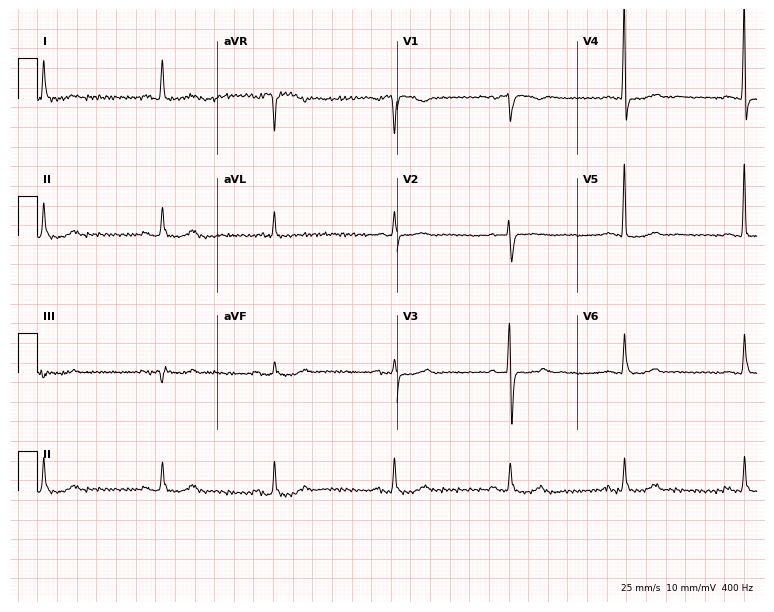
Electrocardiogram (7.3-second recording at 400 Hz), a 66-year-old female patient. Of the six screened findings (first-degree AV block, right bundle branch block (RBBB), left bundle branch block (LBBB), sinus bradycardia, atrial fibrillation (AF), sinus tachycardia), none is recorded. Findings outside these six are not listed.